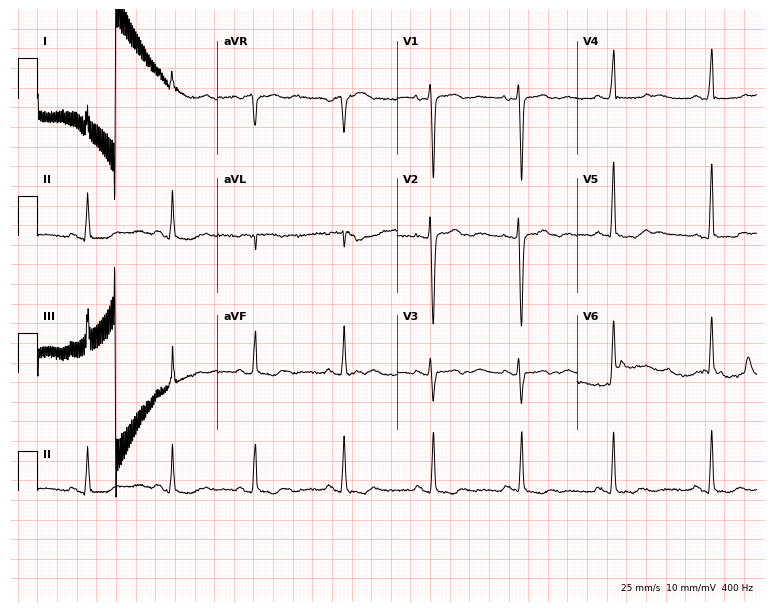
Standard 12-lead ECG recorded from a 28-year-old female. None of these six findings is recorded: first-degree AV block, right bundle branch block, left bundle branch block, sinus bradycardia, atrial fibrillation, sinus tachycardia. Only these six findings were labelled.